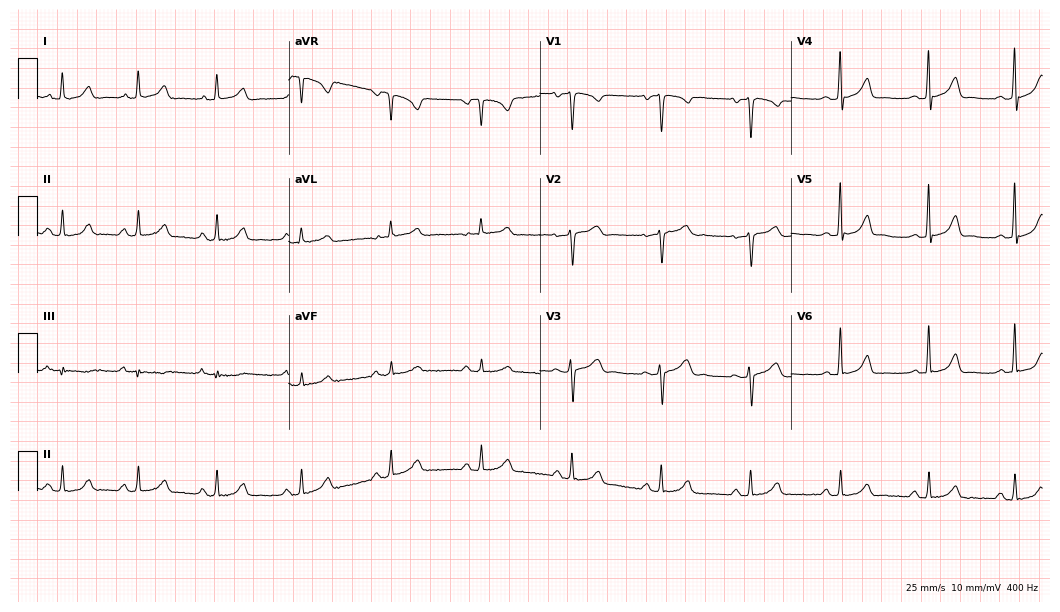
12-lead ECG from a female, 44 years old. Recorded interpretation: within normal limits.